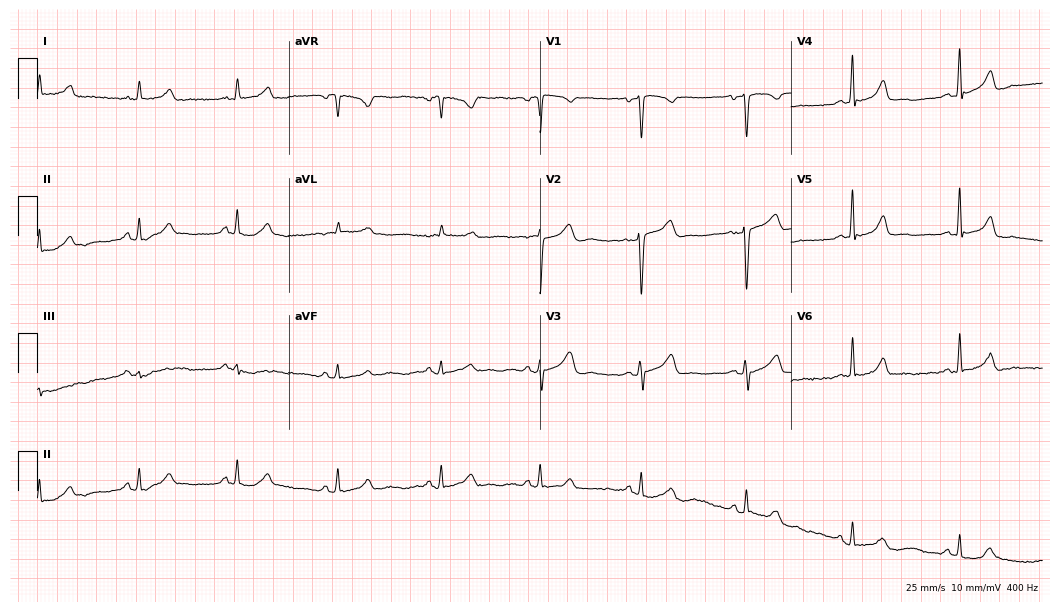
Standard 12-lead ECG recorded from a woman, 47 years old. None of these six findings is recorded: first-degree AV block, right bundle branch block, left bundle branch block, sinus bradycardia, atrial fibrillation, sinus tachycardia.